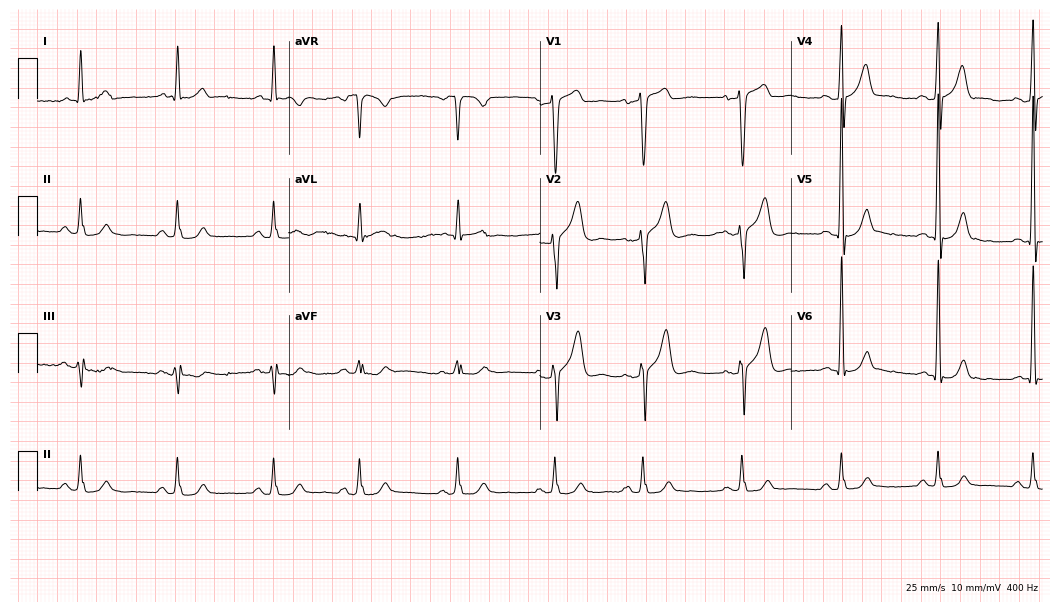
Resting 12-lead electrocardiogram (10.2-second recording at 400 Hz). Patient: a 57-year-old male. Read as a normal ECG.